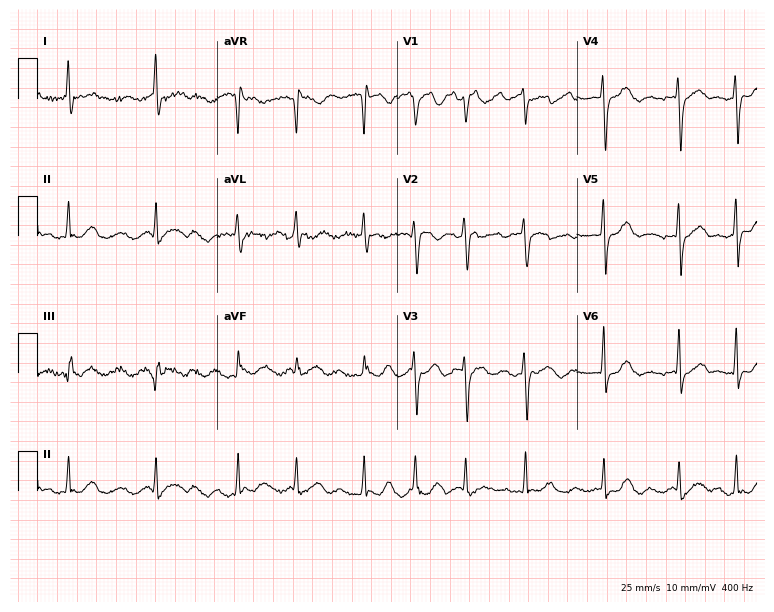
12-lead ECG from a 74-year-old female (7.3-second recording at 400 Hz). No first-degree AV block, right bundle branch block, left bundle branch block, sinus bradycardia, atrial fibrillation or sinus tachycardia recorded for this tracing.